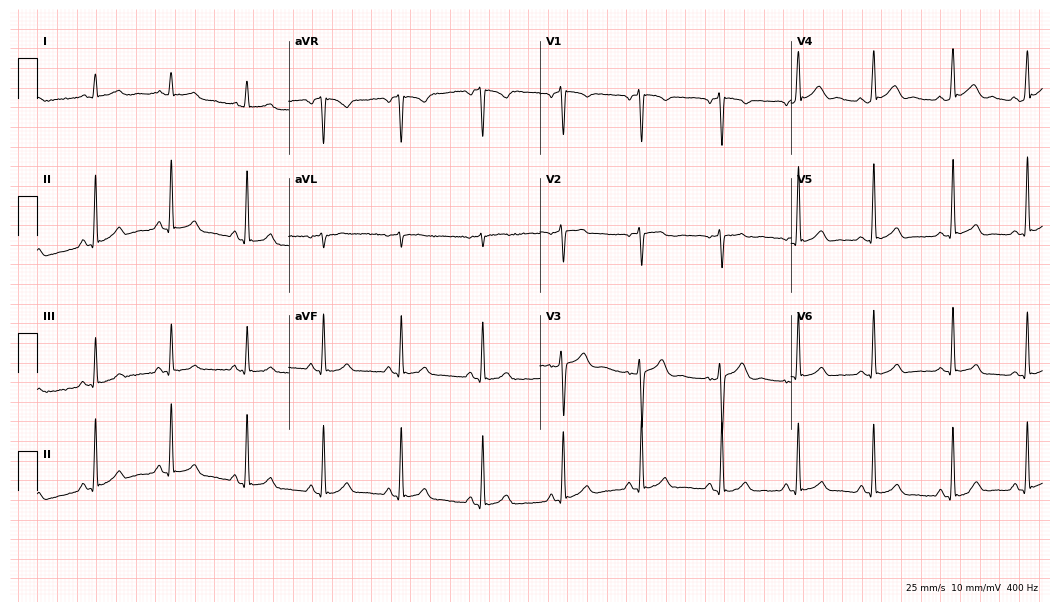
Standard 12-lead ECG recorded from a male, 25 years old (10.2-second recording at 400 Hz). Read as a normal ECG.